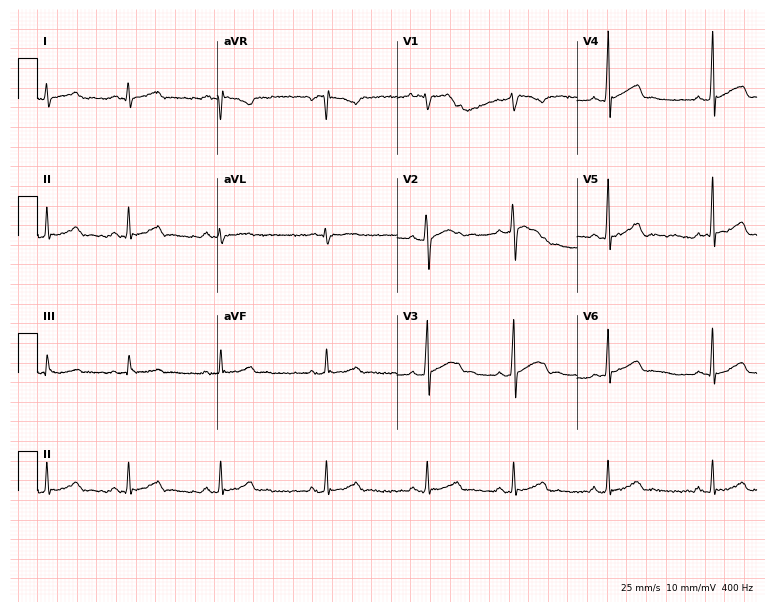
Electrocardiogram, a female patient, 26 years old. Overall reading on record: normal ECG.